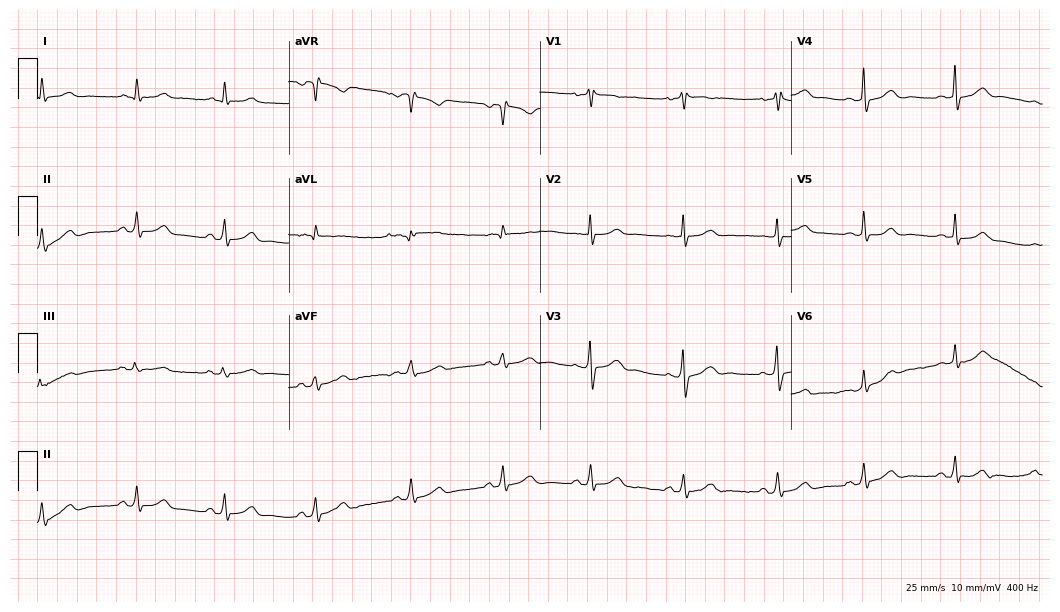
12-lead ECG from a 69-year-old female. Screened for six findings — first-degree AV block, right bundle branch block, left bundle branch block, sinus bradycardia, atrial fibrillation, sinus tachycardia — none is recorded. Findings outside these six are not listed.